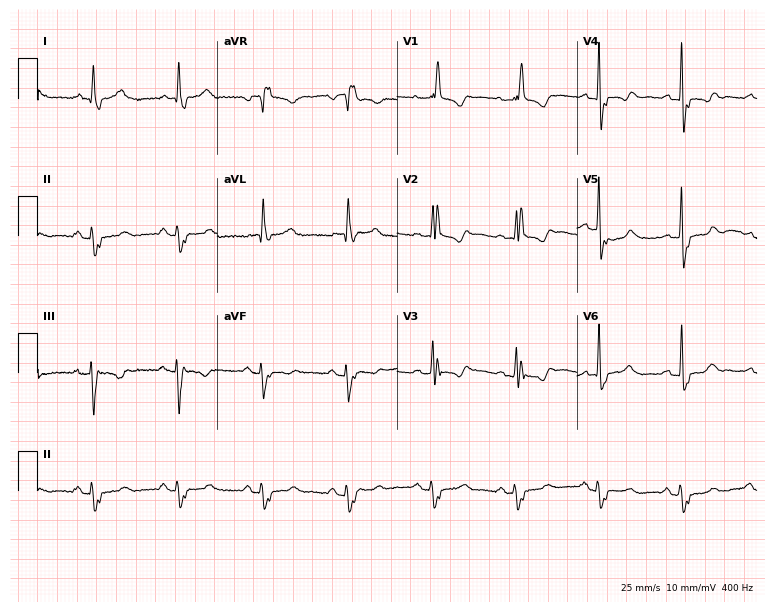
Standard 12-lead ECG recorded from a female, 62 years old (7.3-second recording at 400 Hz). The tracing shows right bundle branch block (RBBB).